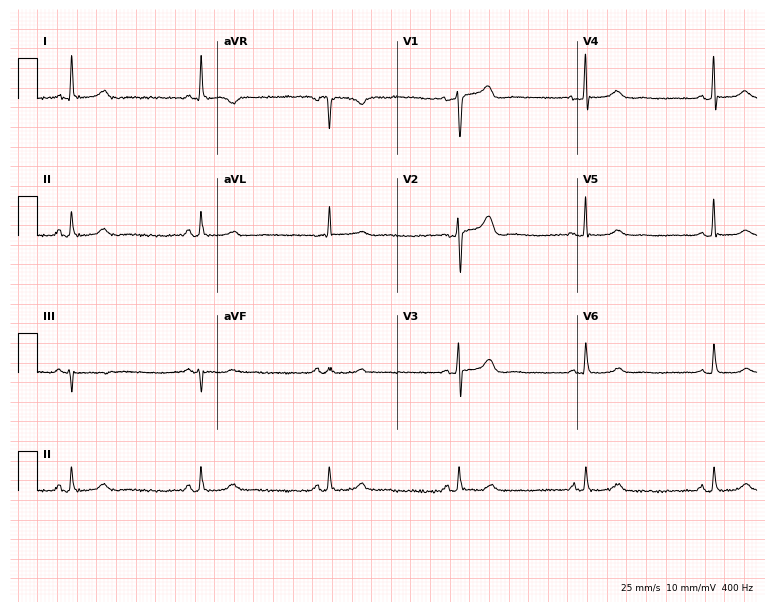
Electrocardiogram, a 54-year-old female patient. Interpretation includes sinus bradycardia (a sinus rate of 50 beats per minute or less).